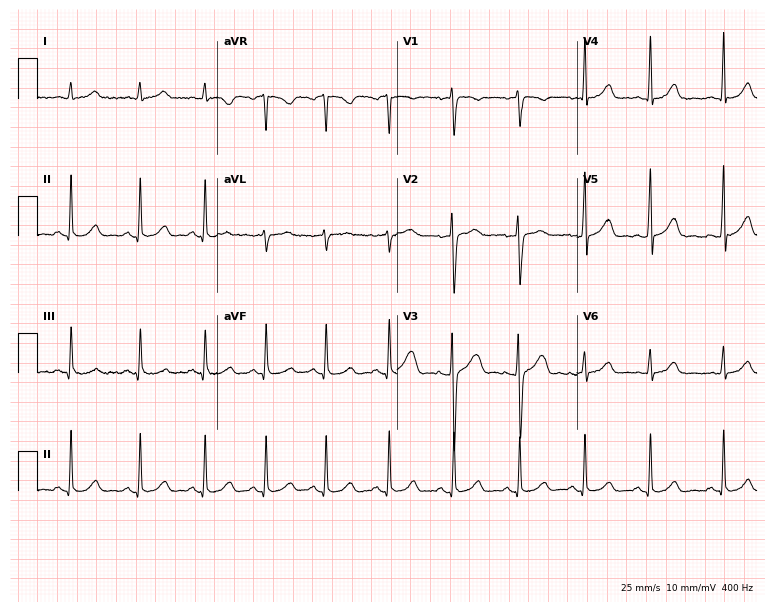
Electrocardiogram, a woman, 28 years old. Overall reading on record: normal ECG.